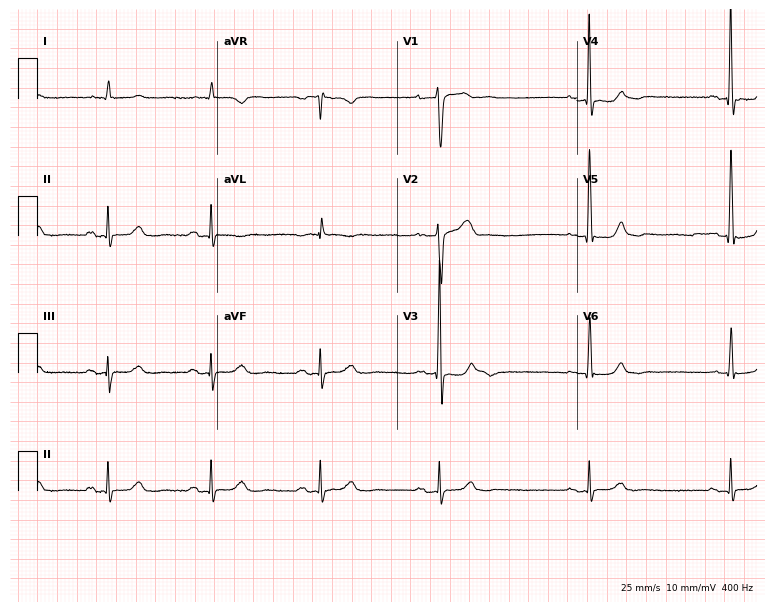
Electrocardiogram, a man, 82 years old. Of the six screened findings (first-degree AV block, right bundle branch block, left bundle branch block, sinus bradycardia, atrial fibrillation, sinus tachycardia), none is recorded.